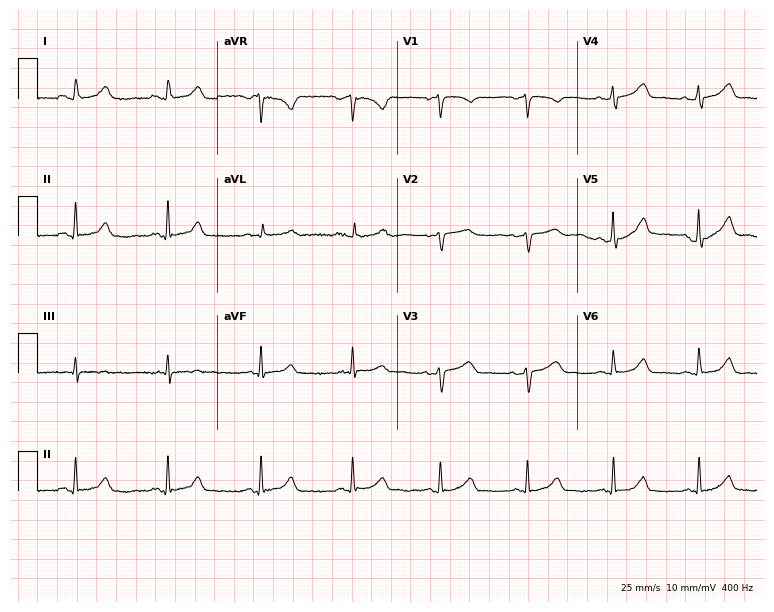
12-lead ECG from a 52-year-old female patient (7.3-second recording at 400 Hz). Recorded interpretation: within normal limits.